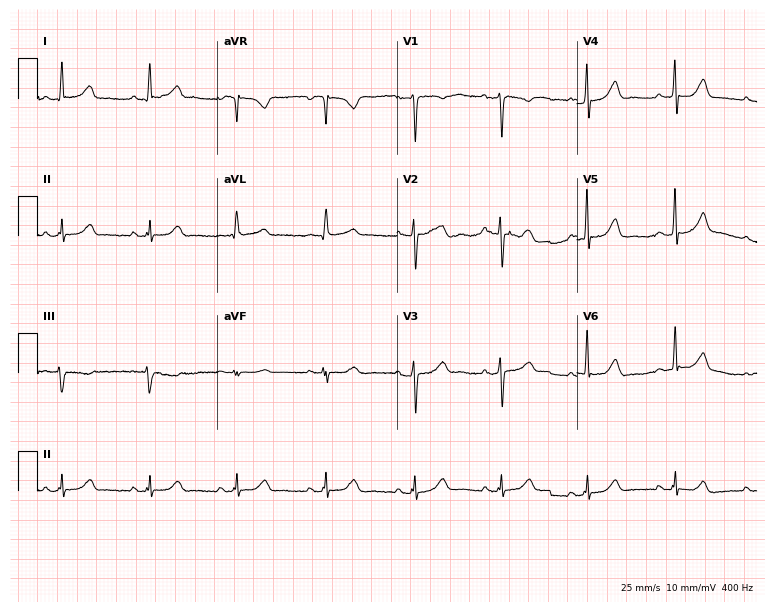
ECG — a 49-year-old female. Labelled as a normal ECG.